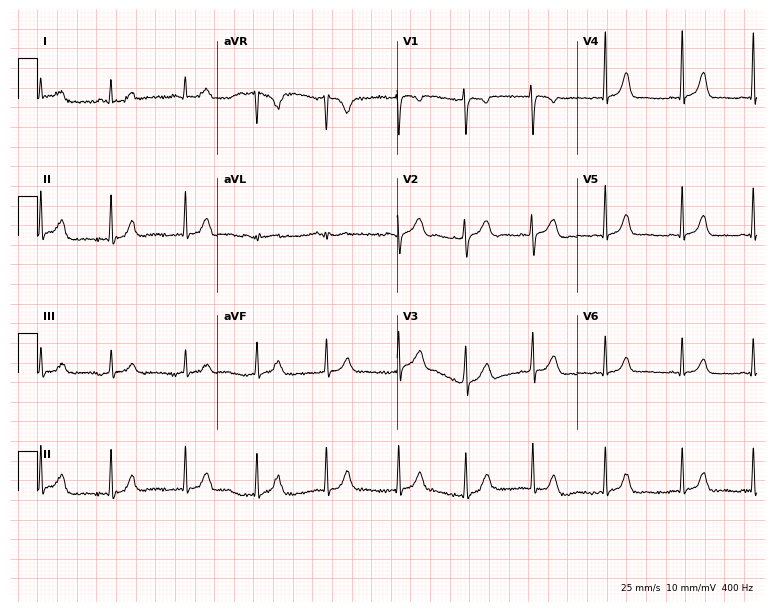
Standard 12-lead ECG recorded from a female patient, 25 years old (7.3-second recording at 400 Hz). Read as a normal ECG.